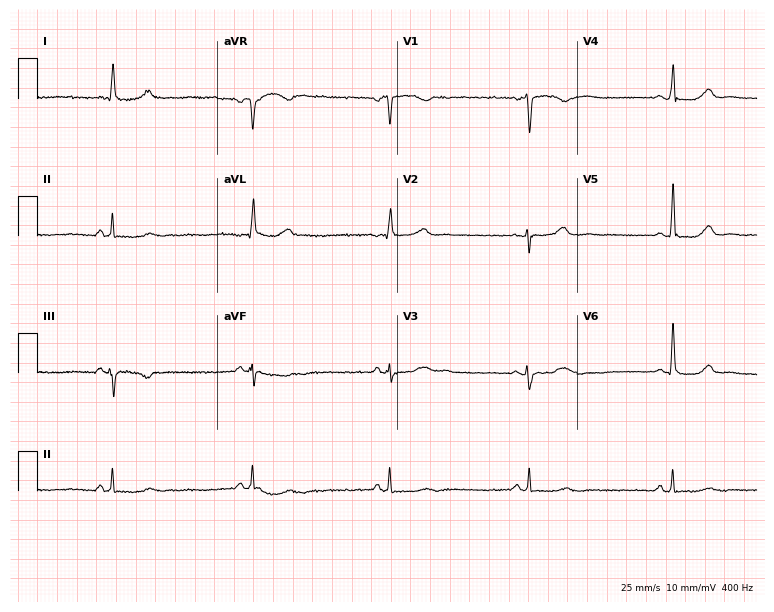
Standard 12-lead ECG recorded from a female, 67 years old. None of these six findings is recorded: first-degree AV block, right bundle branch block, left bundle branch block, sinus bradycardia, atrial fibrillation, sinus tachycardia. Other findings, if any, are not listed.